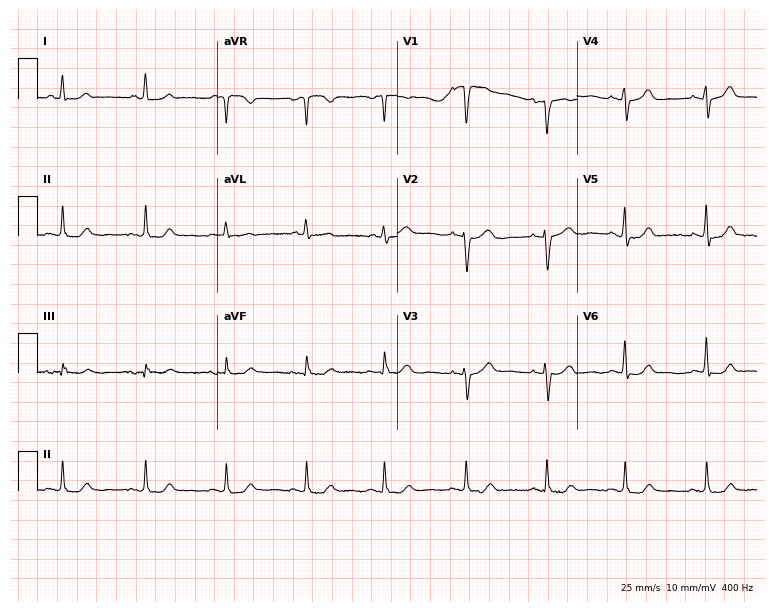
Resting 12-lead electrocardiogram. Patient: a female, 68 years old. None of these six findings is recorded: first-degree AV block, right bundle branch block, left bundle branch block, sinus bradycardia, atrial fibrillation, sinus tachycardia. Findings outside these six are not listed.